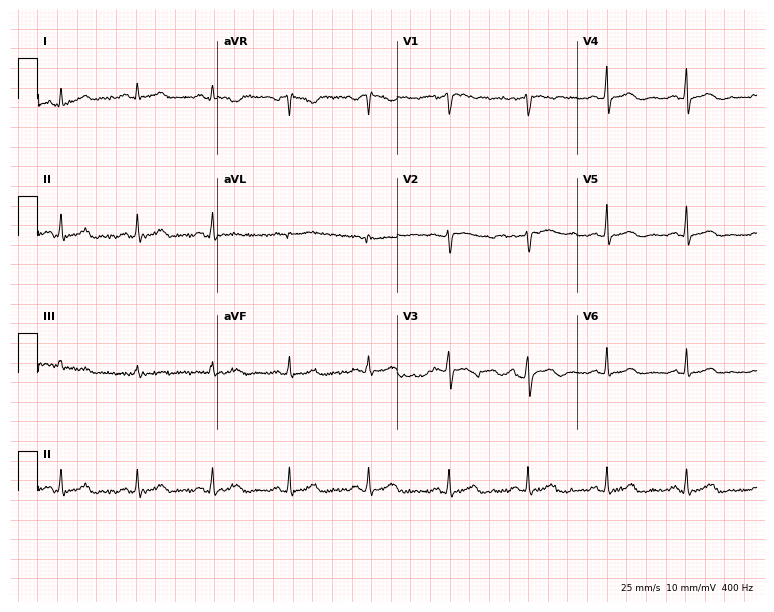
12-lead ECG from a woman, 46 years old (7.3-second recording at 400 Hz). Recorded interpretation: within normal limits.